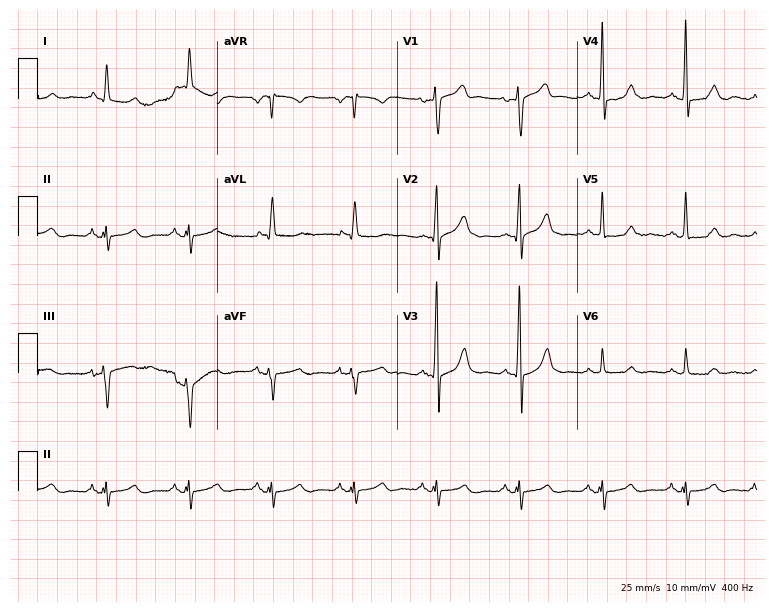
ECG — a male patient, 75 years old. Screened for six findings — first-degree AV block, right bundle branch block, left bundle branch block, sinus bradycardia, atrial fibrillation, sinus tachycardia — none is recorded. Only these six findings were labelled.